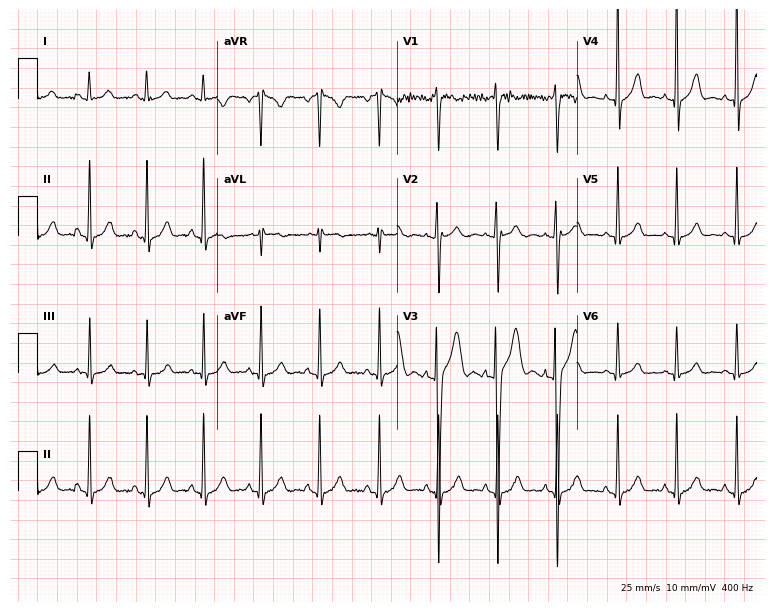
Standard 12-lead ECG recorded from a male, 19 years old. Read as a normal ECG.